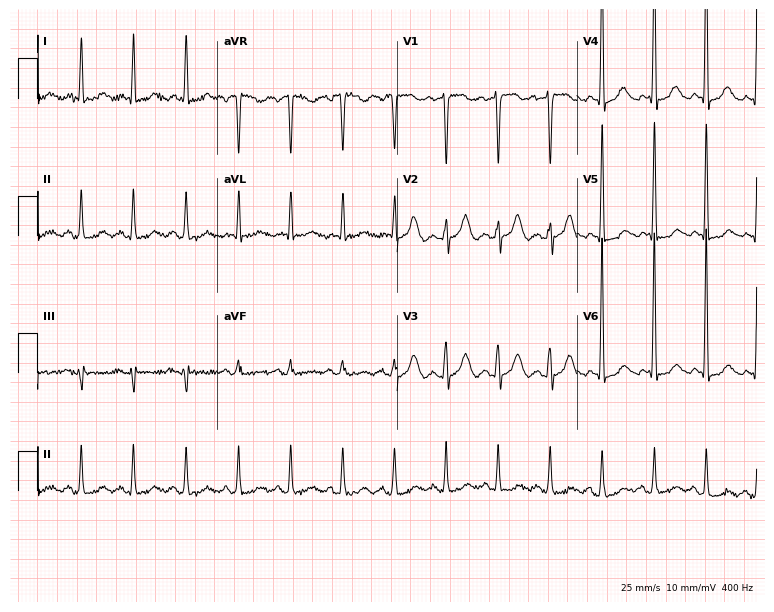
Standard 12-lead ECG recorded from a woman, 56 years old (7.3-second recording at 400 Hz). None of these six findings is recorded: first-degree AV block, right bundle branch block, left bundle branch block, sinus bradycardia, atrial fibrillation, sinus tachycardia.